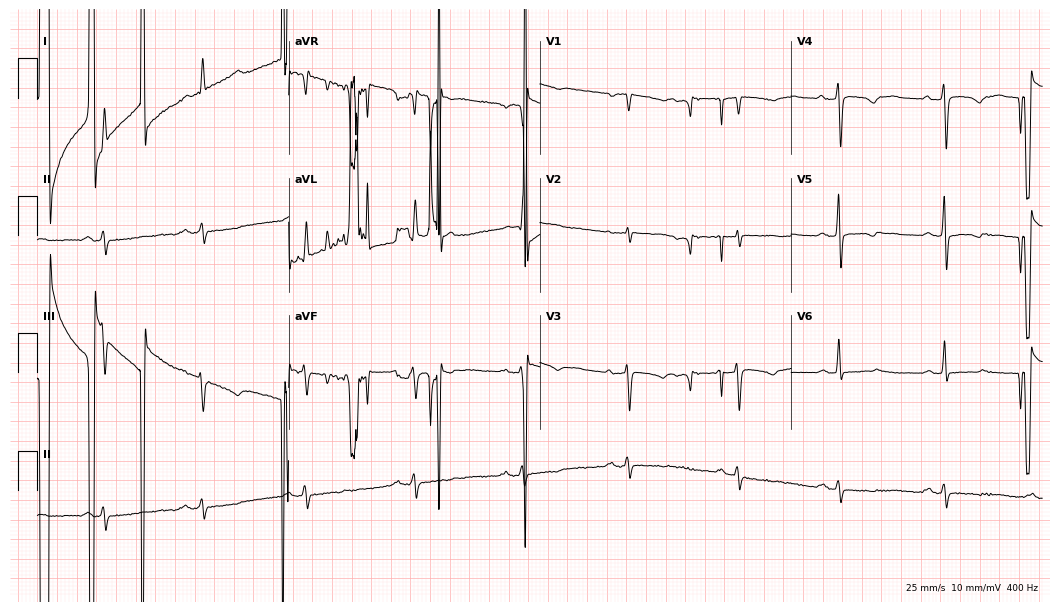
ECG (10.2-second recording at 400 Hz) — a 71-year-old woman. Screened for six findings — first-degree AV block, right bundle branch block, left bundle branch block, sinus bradycardia, atrial fibrillation, sinus tachycardia — none is recorded.